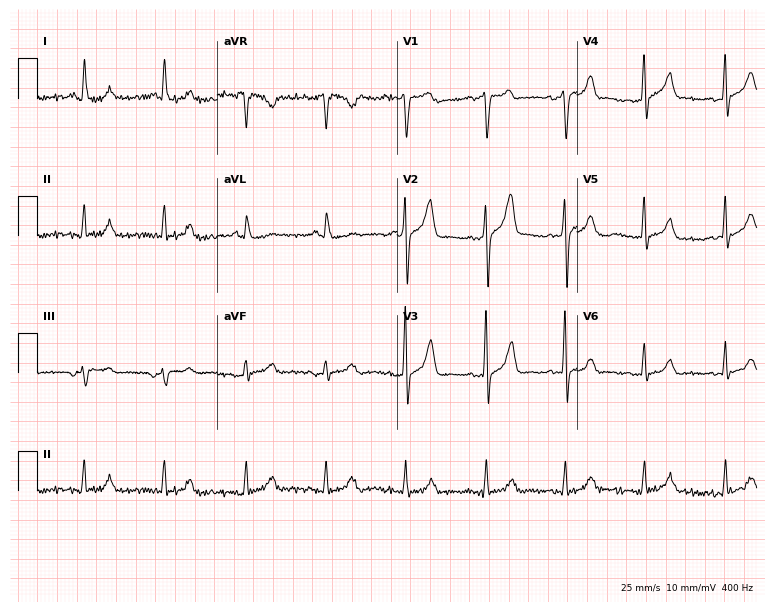
ECG — a 70-year-old male patient. Labelled as a normal ECG.